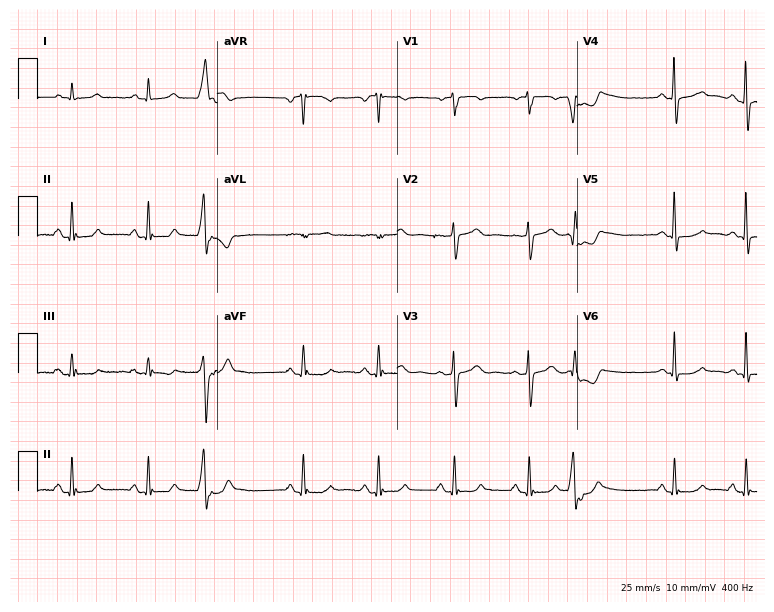
ECG (7.3-second recording at 400 Hz) — a 74-year-old male. Screened for six findings — first-degree AV block, right bundle branch block (RBBB), left bundle branch block (LBBB), sinus bradycardia, atrial fibrillation (AF), sinus tachycardia — none is recorded.